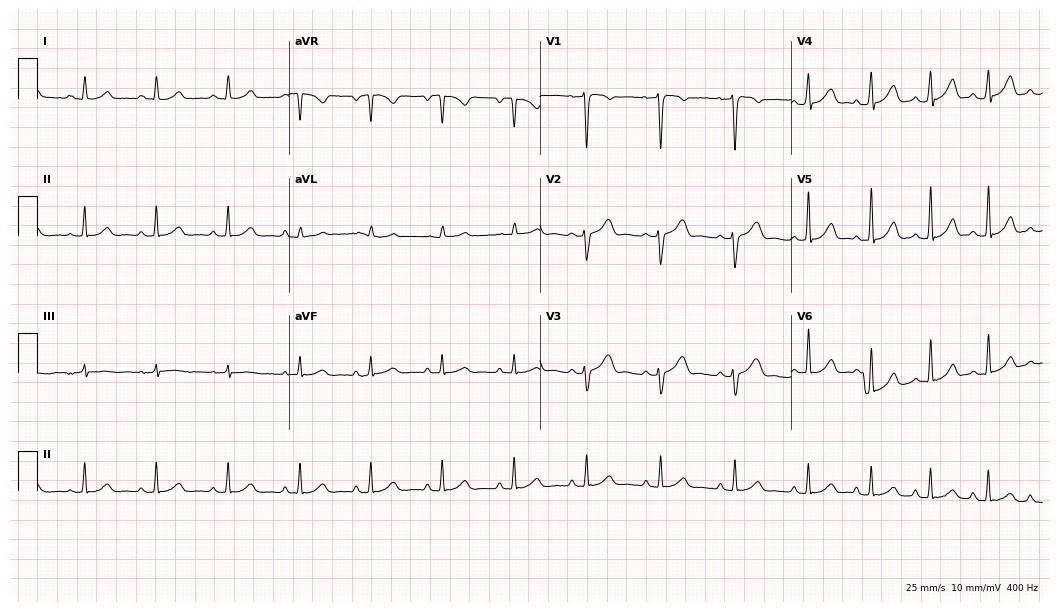
Electrocardiogram (10.2-second recording at 400 Hz), a woman, 19 years old. Overall reading on record: normal ECG.